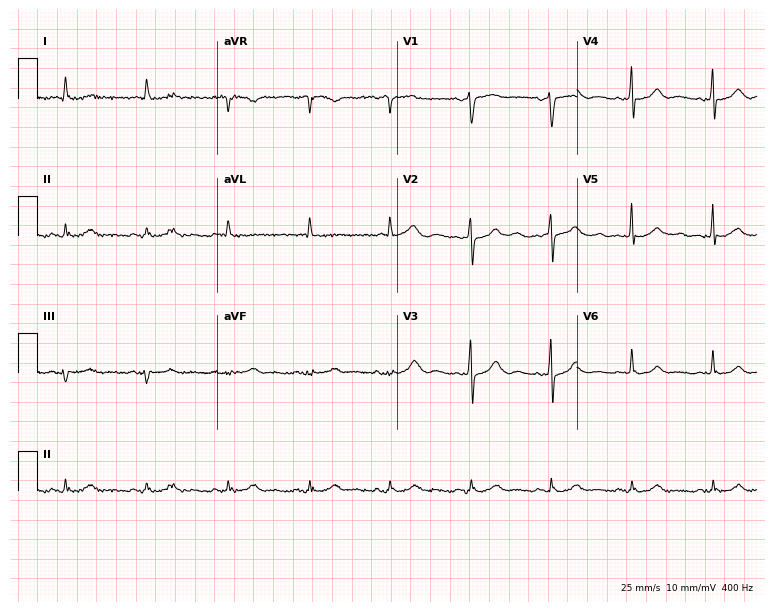
12-lead ECG (7.3-second recording at 400 Hz) from an 84-year-old male patient. Screened for six findings — first-degree AV block, right bundle branch block, left bundle branch block, sinus bradycardia, atrial fibrillation, sinus tachycardia — none is recorded.